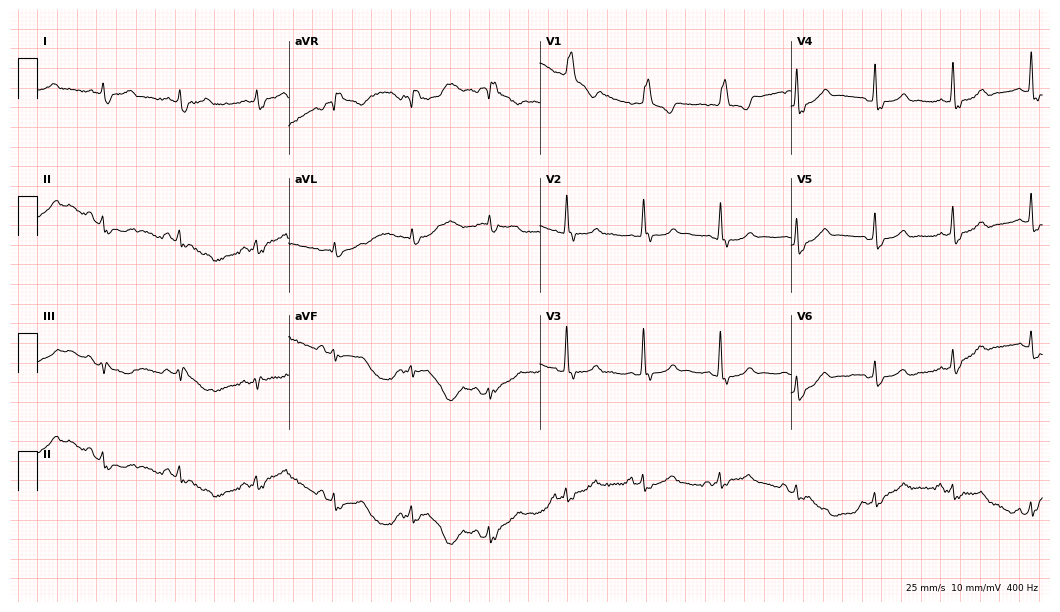
12-lead ECG (10.2-second recording at 400 Hz) from a male, 67 years old. Findings include right bundle branch block.